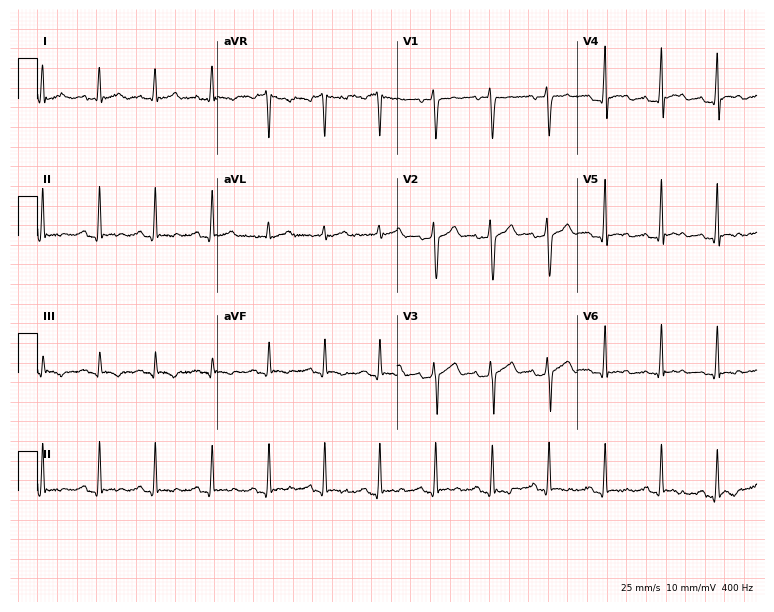
Standard 12-lead ECG recorded from a man, 23 years old. The tracing shows sinus tachycardia (a sinus rate of 100 beats per minute or more).